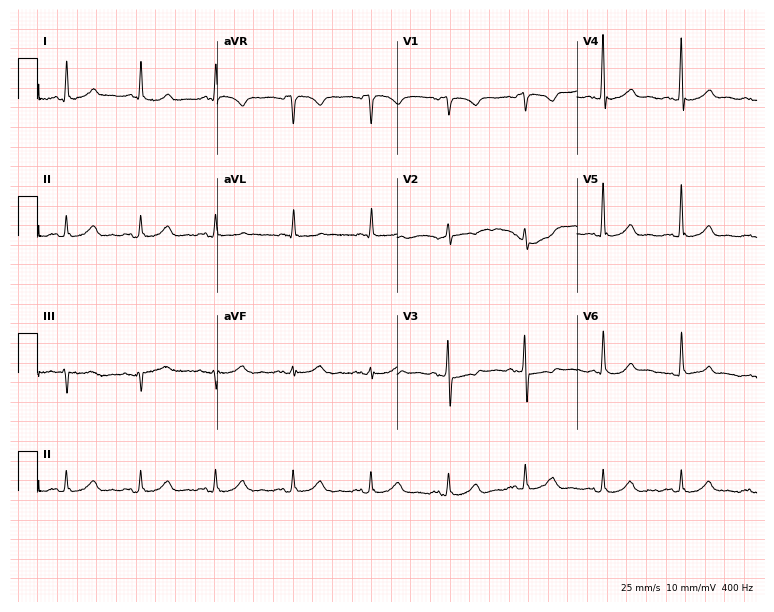
Electrocardiogram, a 68-year-old female. Of the six screened findings (first-degree AV block, right bundle branch block (RBBB), left bundle branch block (LBBB), sinus bradycardia, atrial fibrillation (AF), sinus tachycardia), none is recorded.